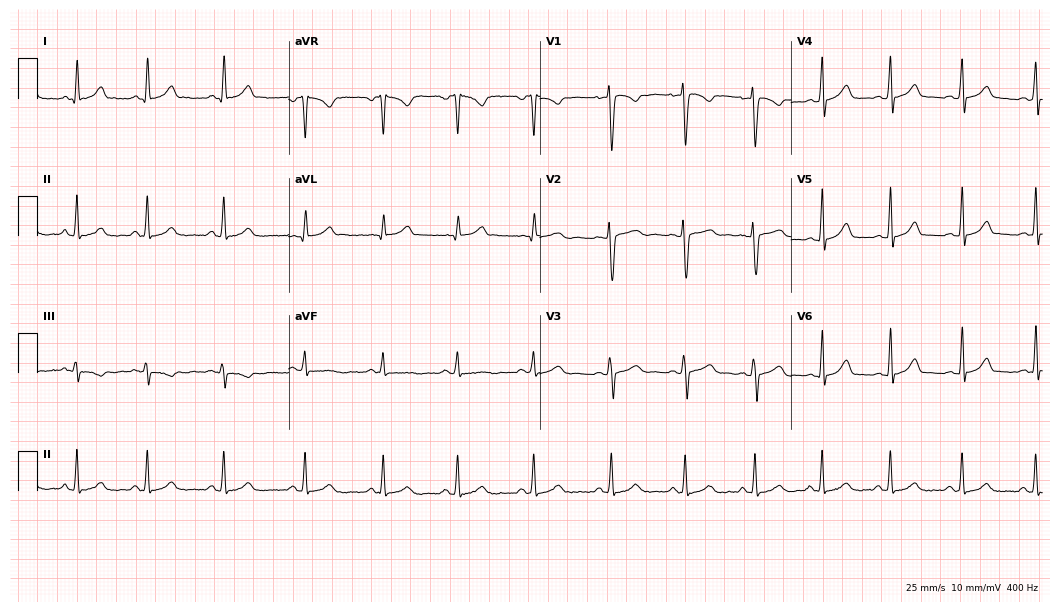
Electrocardiogram, a female patient, 21 years old. Overall reading on record: normal ECG.